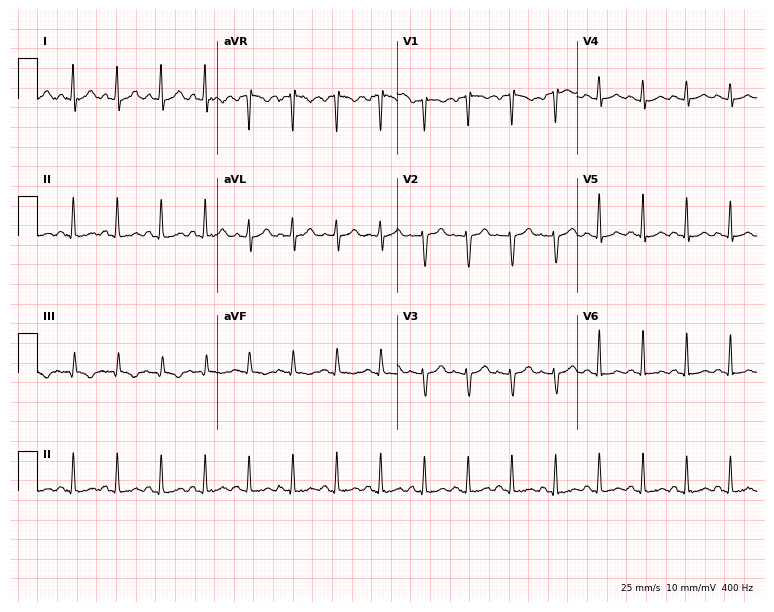
12-lead ECG (7.3-second recording at 400 Hz) from a female, 28 years old. Findings include sinus tachycardia (a sinus rate of 100 beats per minute or more).